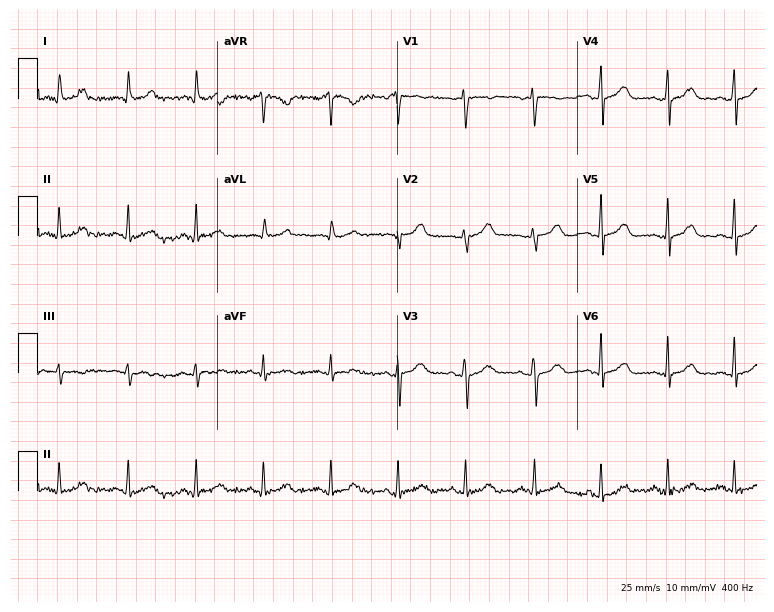
Resting 12-lead electrocardiogram (7.3-second recording at 400 Hz). Patient: a female, 43 years old. Read as a normal ECG.